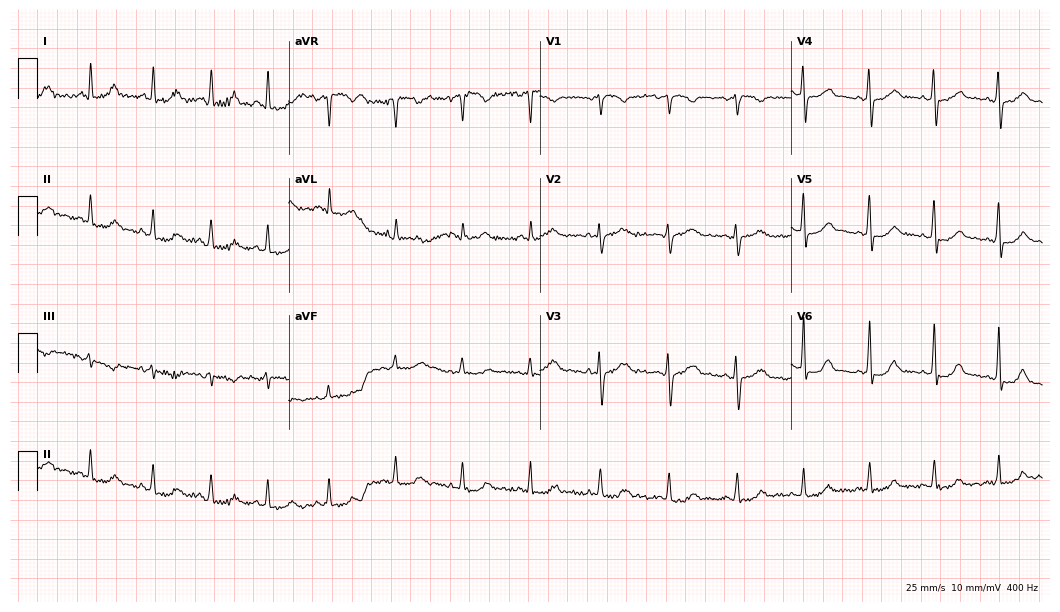
12-lead ECG (10.2-second recording at 400 Hz) from a 28-year-old woman. Labelled as a normal ECG.